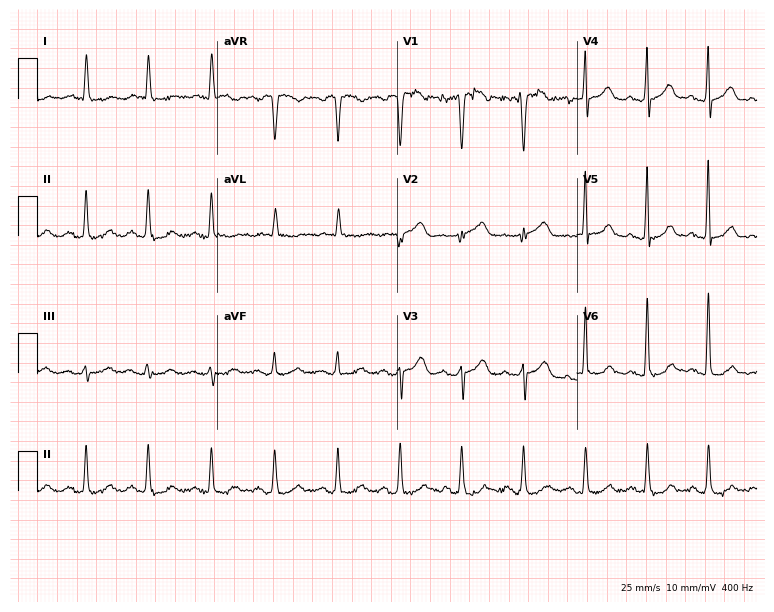
ECG — an 84-year-old woman. Screened for six findings — first-degree AV block, right bundle branch block (RBBB), left bundle branch block (LBBB), sinus bradycardia, atrial fibrillation (AF), sinus tachycardia — none is recorded.